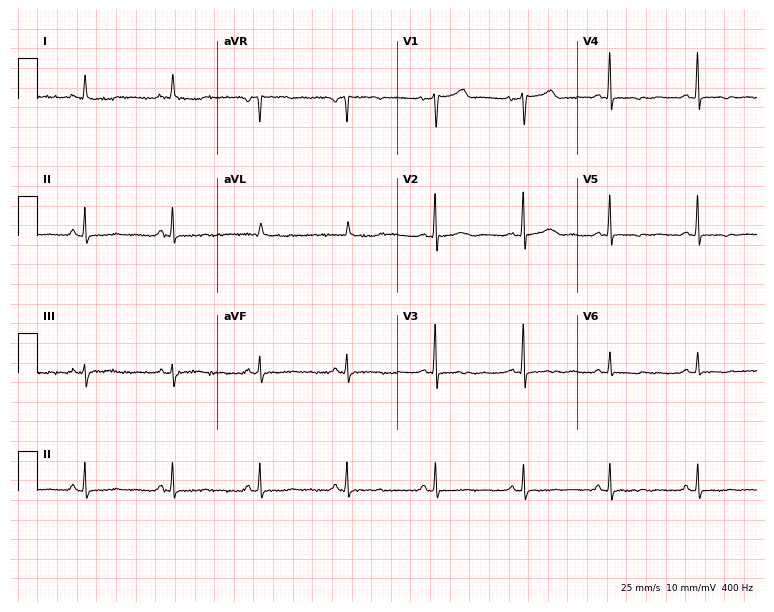
Resting 12-lead electrocardiogram (7.3-second recording at 400 Hz). Patient: a woman, 81 years old. None of these six findings is recorded: first-degree AV block, right bundle branch block, left bundle branch block, sinus bradycardia, atrial fibrillation, sinus tachycardia. Other findings, if any, are not listed.